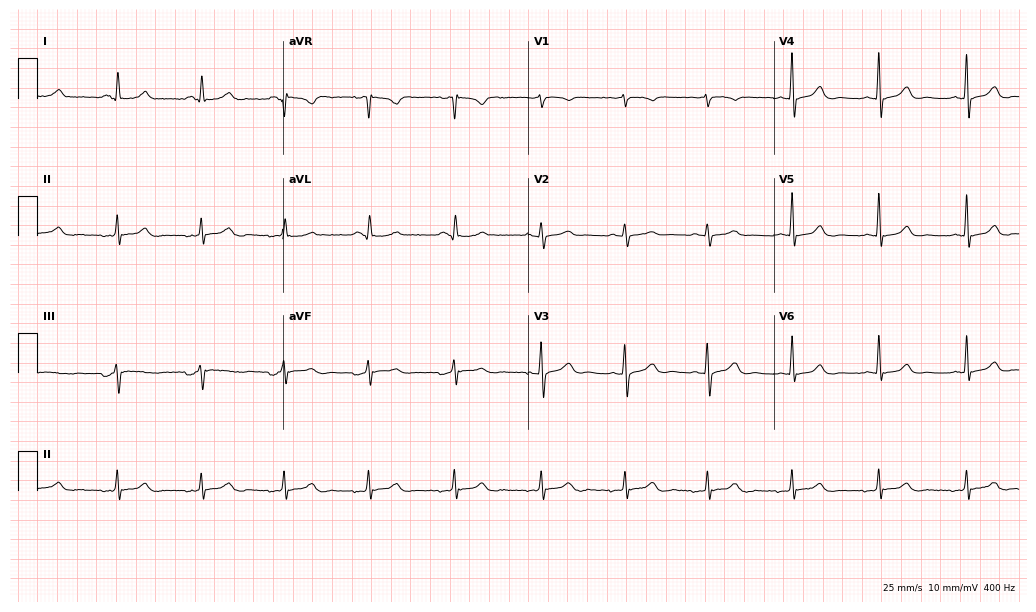
Standard 12-lead ECG recorded from a 64-year-old female patient. None of these six findings is recorded: first-degree AV block, right bundle branch block, left bundle branch block, sinus bradycardia, atrial fibrillation, sinus tachycardia. Other findings, if any, are not listed.